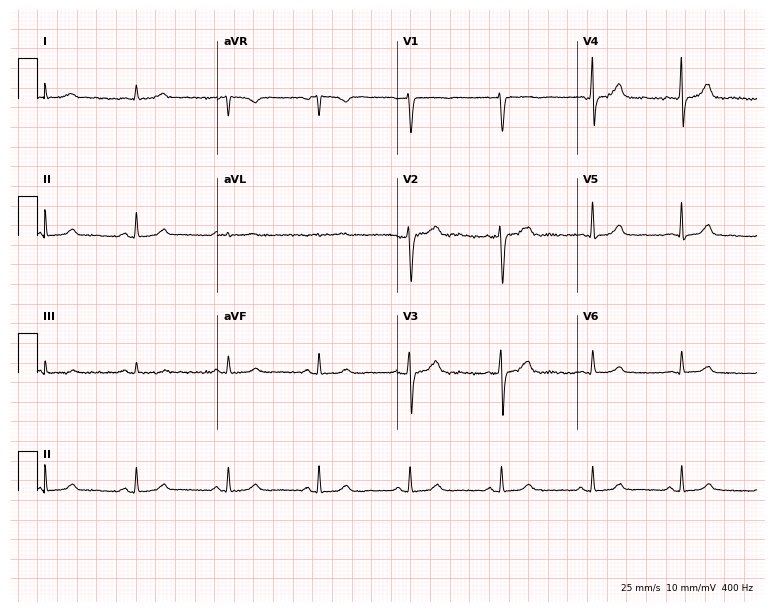
Standard 12-lead ECG recorded from a 59-year-old male (7.3-second recording at 400 Hz). Read as a normal ECG.